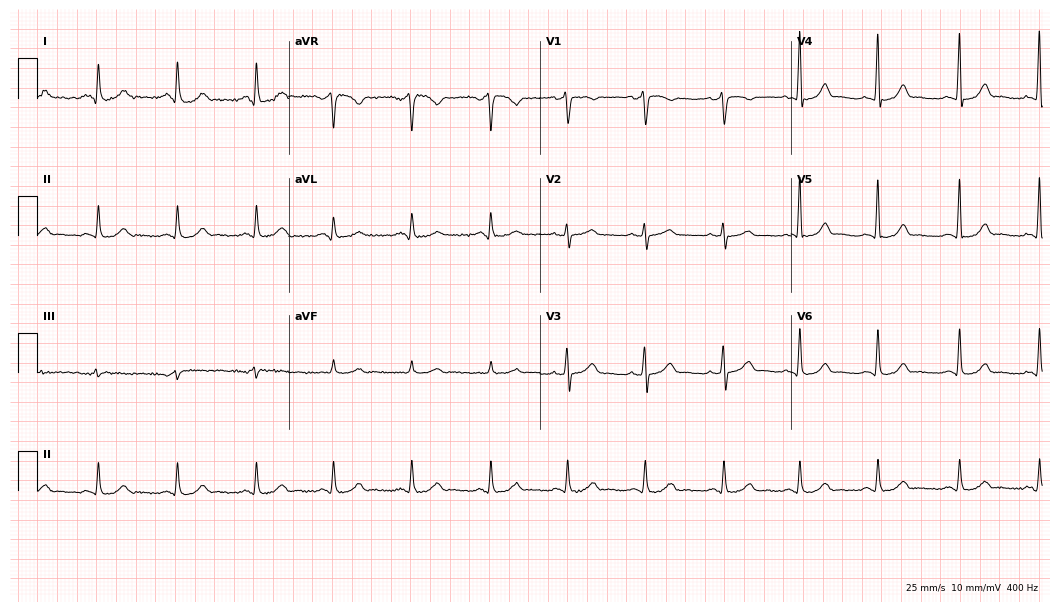
12-lead ECG from a 30-year-old female. Screened for six findings — first-degree AV block, right bundle branch block, left bundle branch block, sinus bradycardia, atrial fibrillation, sinus tachycardia — none is recorded. Other findings, if any, are not listed.